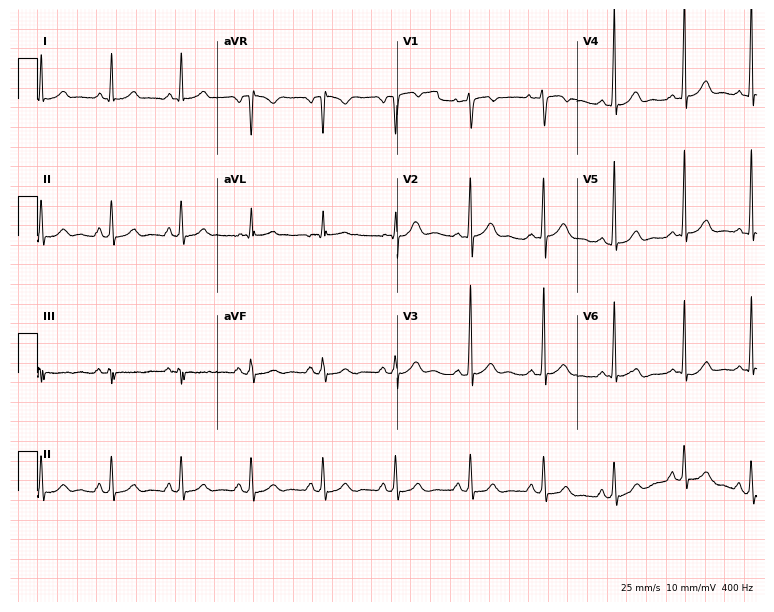
12-lead ECG from a 29-year-old female. Recorded interpretation: within normal limits.